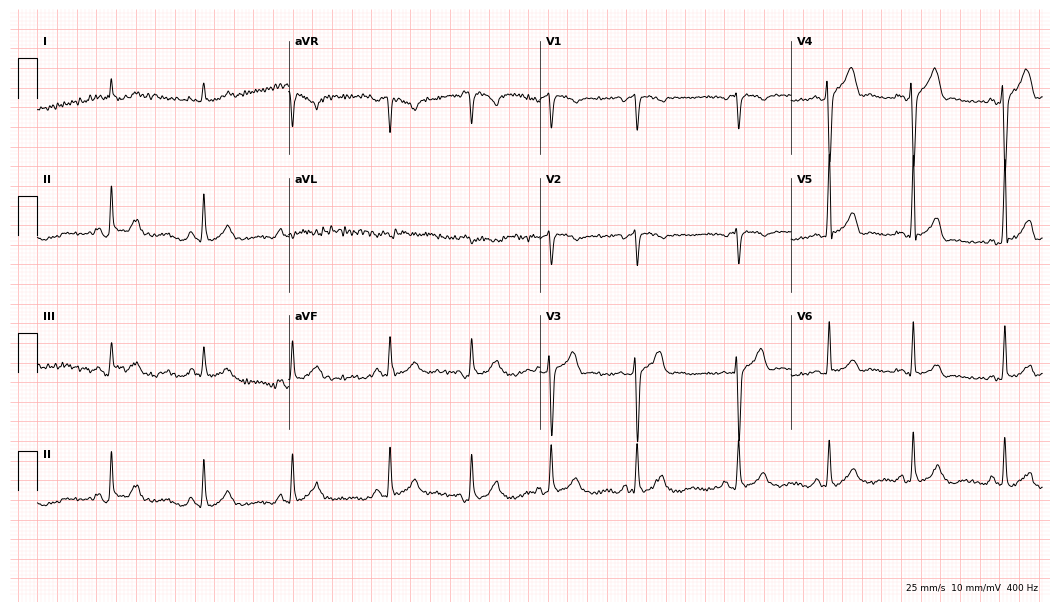
12-lead ECG (10.2-second recording at 400 Hz) from a 23-year-old man. Labelled as a normal ECG.